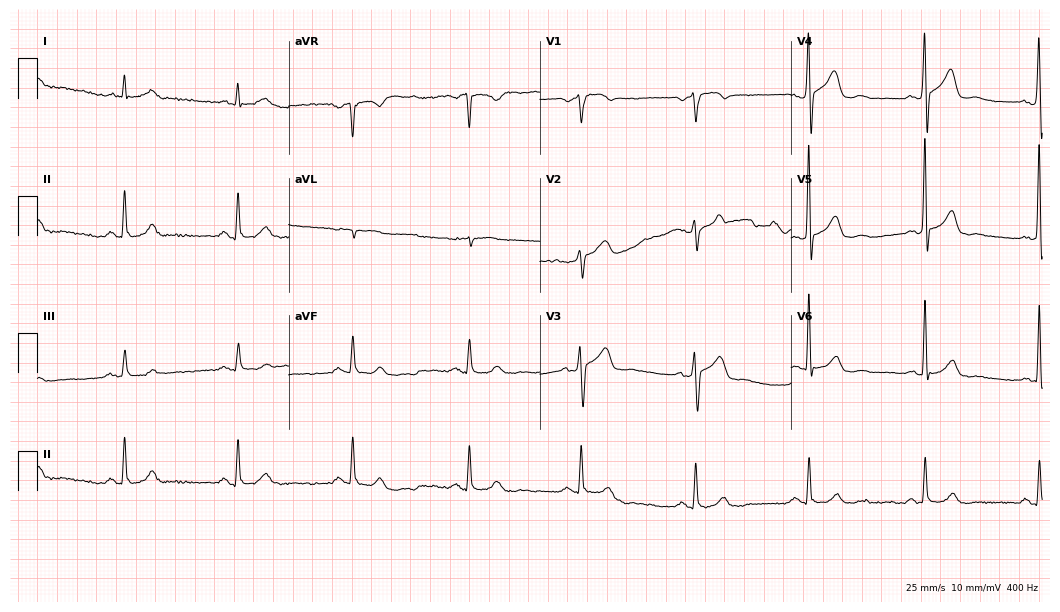
Resting 12-lead electrocardiogram. Patient: an 80-year-old male. Read as a normal ECG.